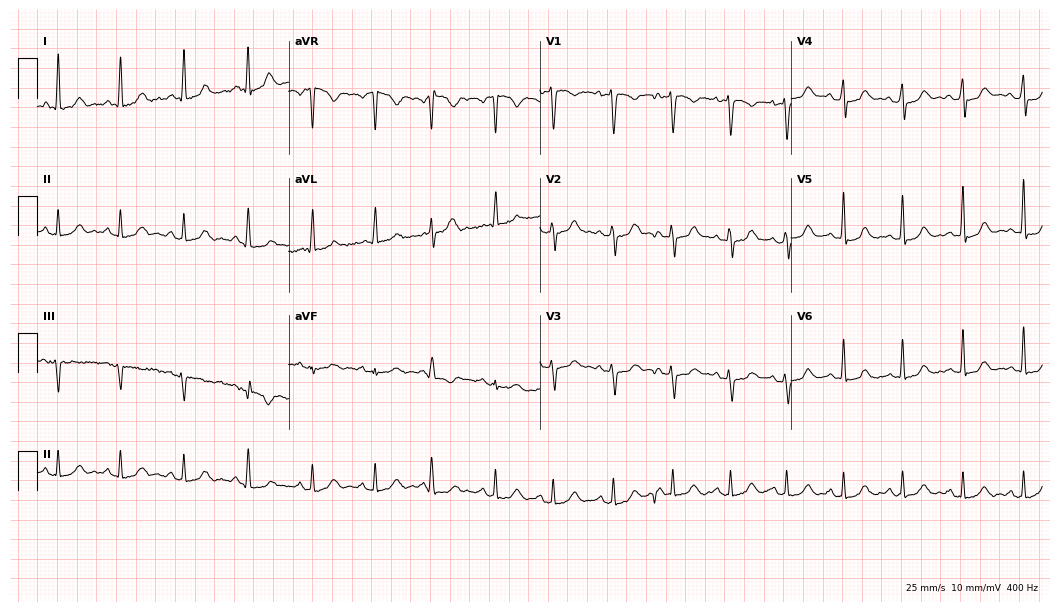
12-lead ECG from a 47-year-old female patient. Recorded interpretation: within normal limits.